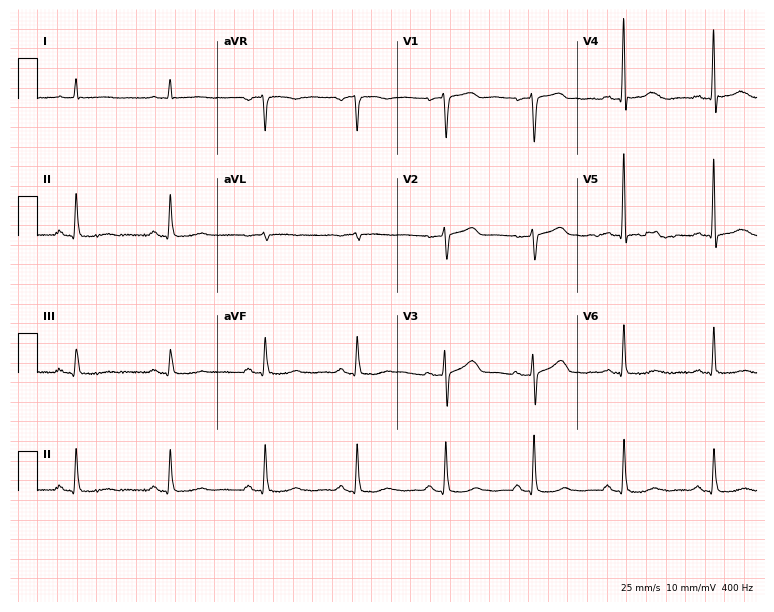
Resting 12-lead electrocardiogram (7.3-second recording at 400 Hz). Patient: a male, 70 years old. Read as a normal ECG.